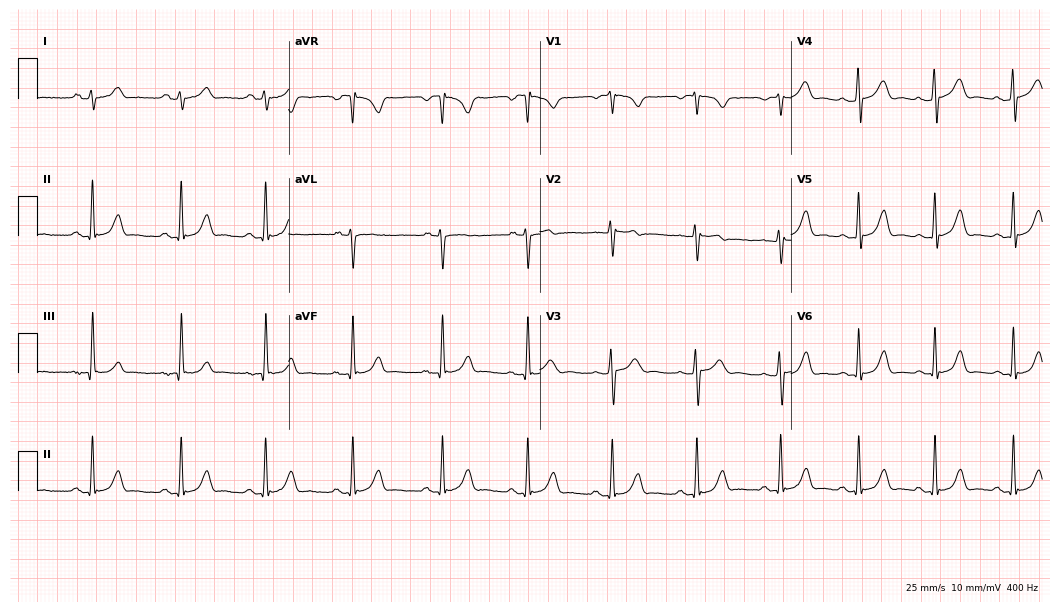
12-lead ECG from a female patient, 28 years old. Recorded interpretation: within normal limits.